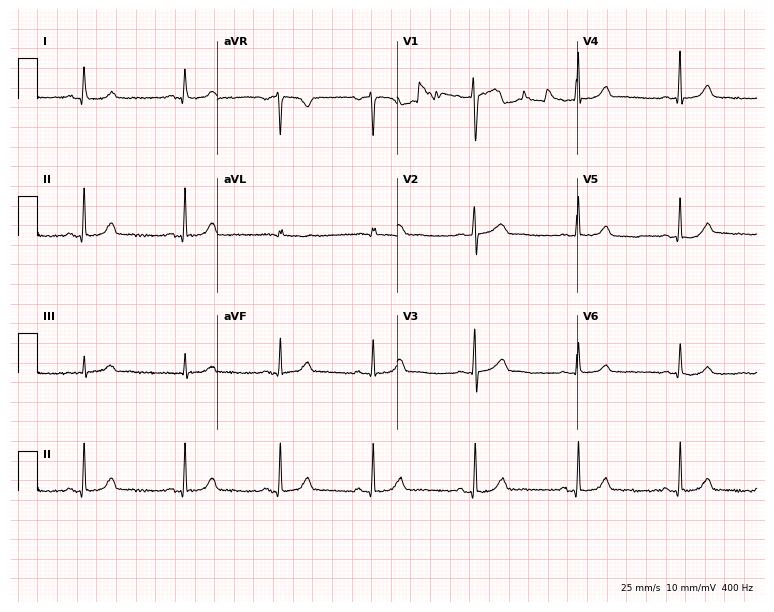
12-lead ECG from a female patient, 43 years old (7.3-second recording at 400 Hz). No first-degree AV block, right bundle branch block (RBBB), left bundle branch block (LBBB), sinus bradycardia, atrial fibrillation (AF) or sinus tachycardia recorded for this tracing.